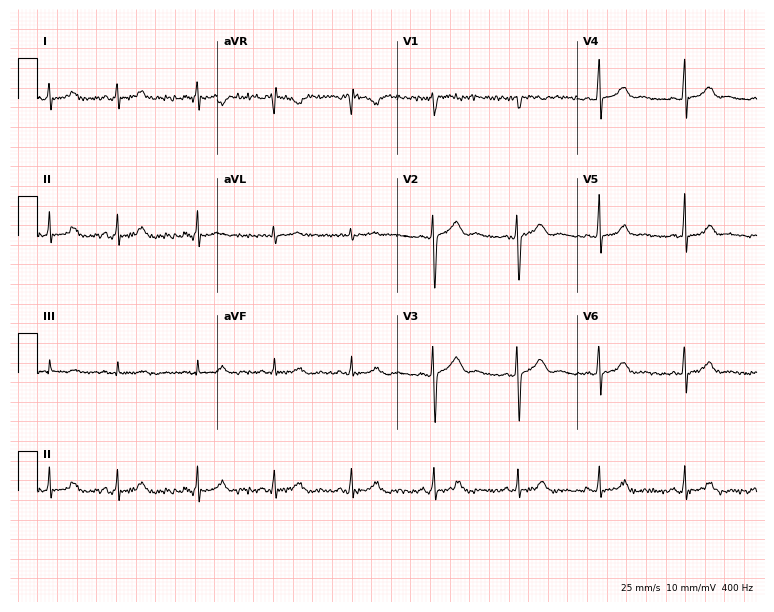
Resting 12-lead electrocardiogram. Patient: a 24-year-old female. None of these six findings is recorded: first-degree AV block, right bundle branch block, left bundle branch block, sinus bradycardia, atrial fibrillation, sinus tachycardia.